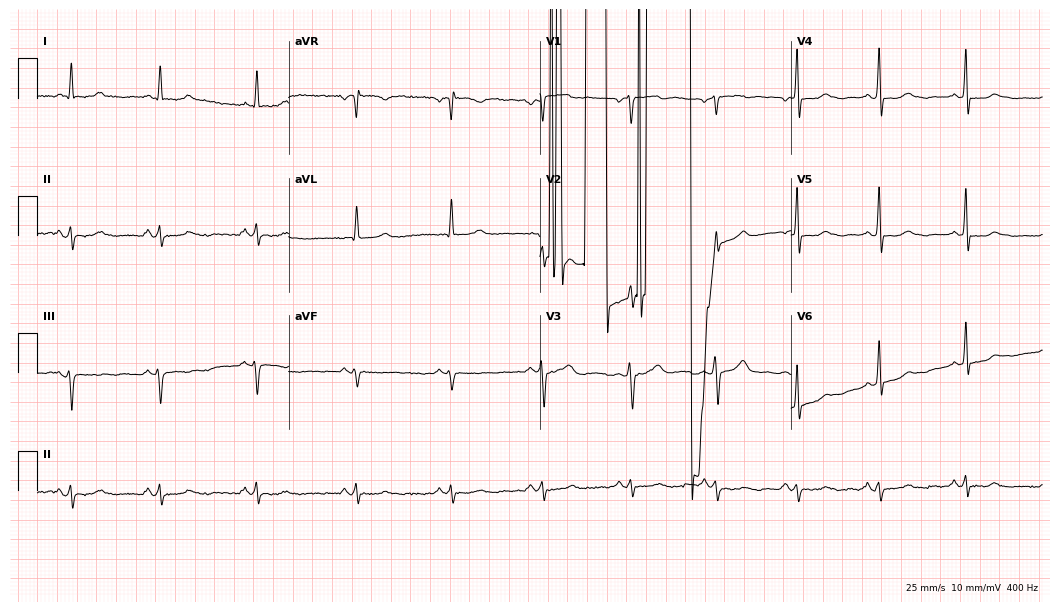
12-lead ECG from a woman, 44 years old. No first-degree AV block, right bundle branch block, left bundle branch block, sinus bradycardia, atrial fibrillation or sinus tachycardia recorded for this tracing.